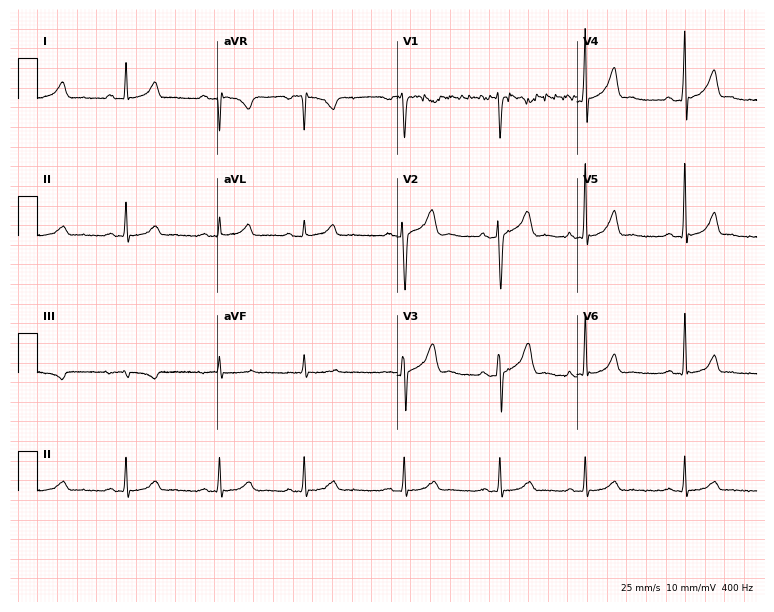
Resting 12-lead electrocardiogram. Patient: a 35-year-old male. Read as a normal ECG.